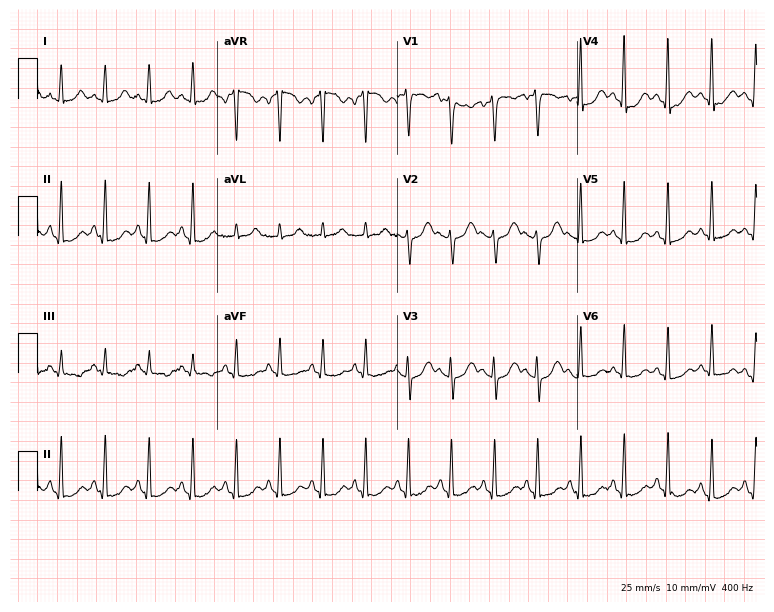
12-lead ECG from a female patient, 38 years old. Findings include sinus tachycardia (a sinus rate of 100 beats per minute or more).